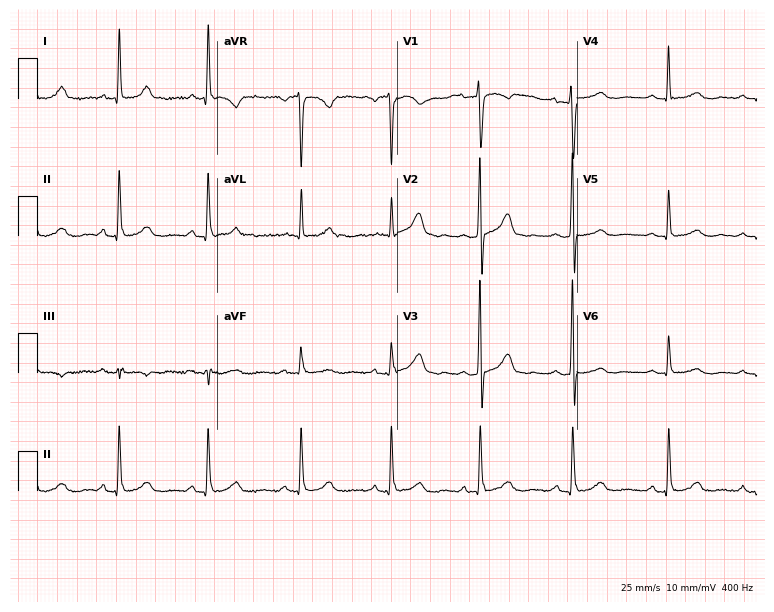
12-lead ECG from a female, 62 years old. Labelled as a normal ECG.